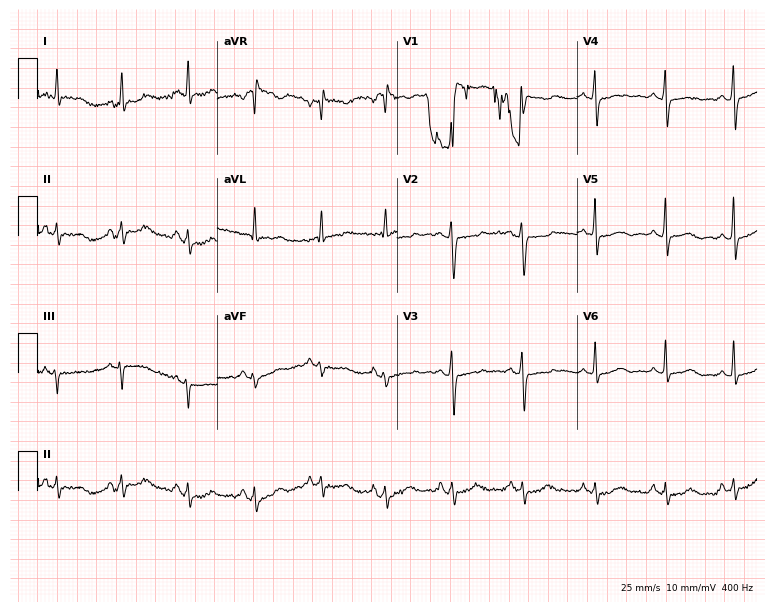
ECG — a 40-year-old female patient. Screened for six findings — first-degree AV block, right bundle branch block, left bundle branch block, sinus bradycardia, atrial fibrillation, sinus tachycardia — none is recorded. Other findings, if any, are not listed.